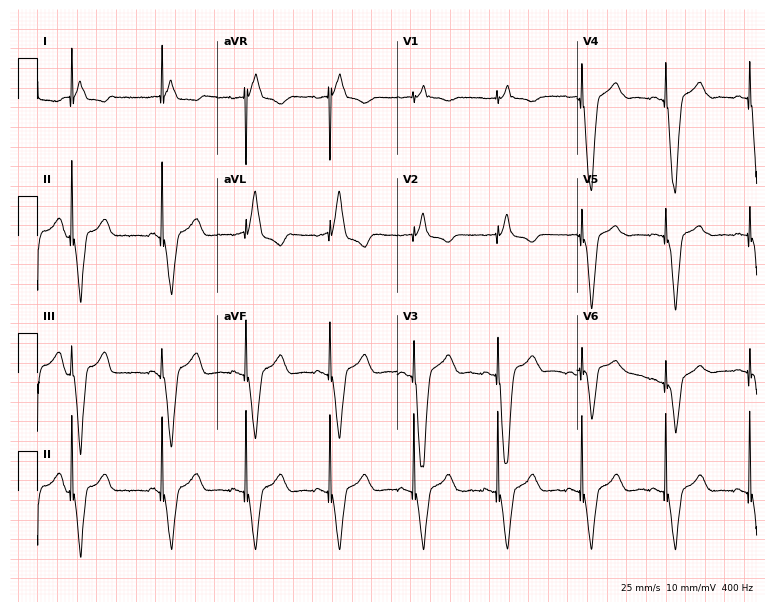
Standard 12-lead ECG recorded from an 84-year-old female patient. None of these six findings is recorded: first-degree AV block, right bundle branch block, left bundle branch block, sinus bradycardia, atrial fibrillation, sinus tachycardia.